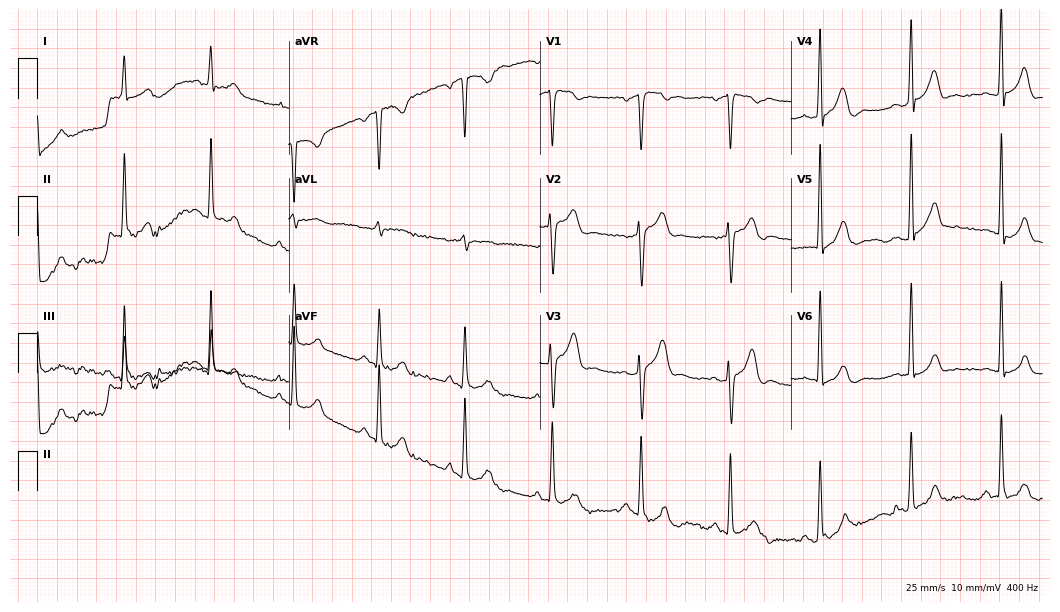
12-lead ECG (10.2-second recording at 400 Hz) from a male, 62 years old. Labelled as a normal ECG.